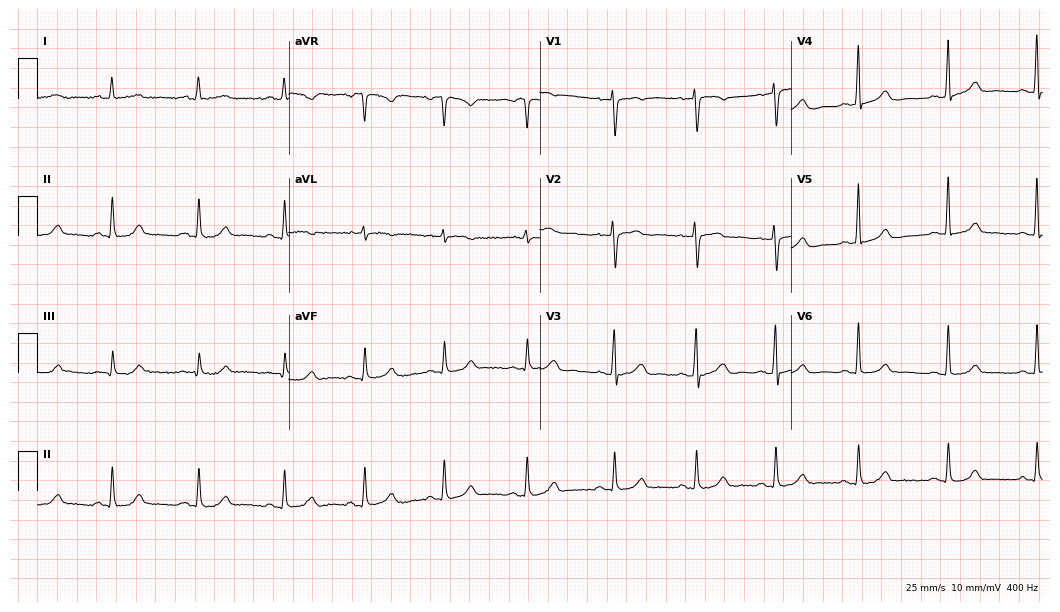
ECG (10.2-second recording at 400 Hz) — a 56-year-old woman. Labelled as a normal ECG.